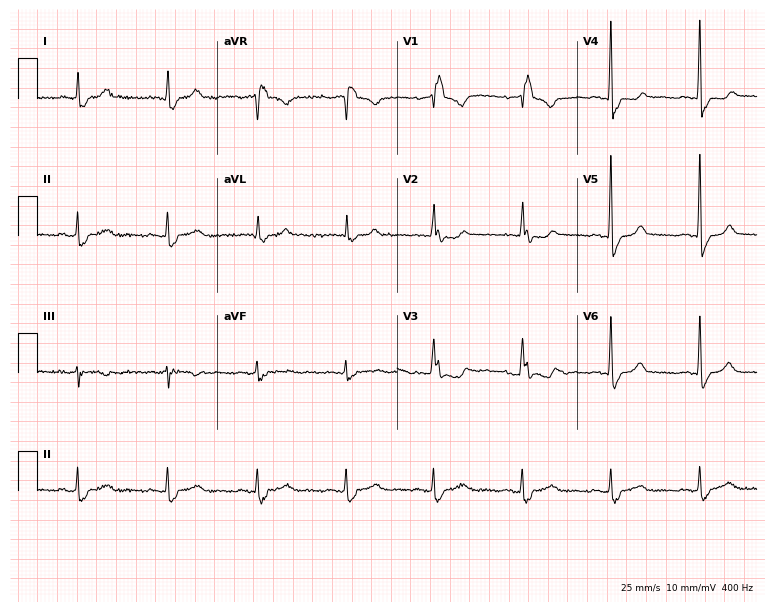
ECG — a female patient, 66 years old. Findings include right bundle branch block.